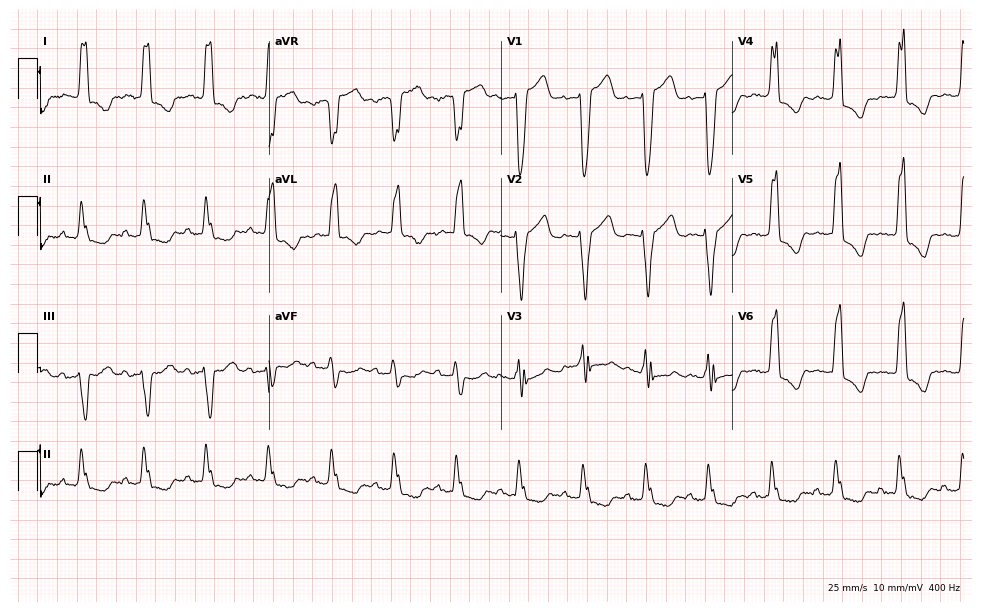
Resting 12-lead electrocardiogram (9.4-second recording at 400 Hz). Patient: a 70-year-old female. The tracing shows left bundle branch block.